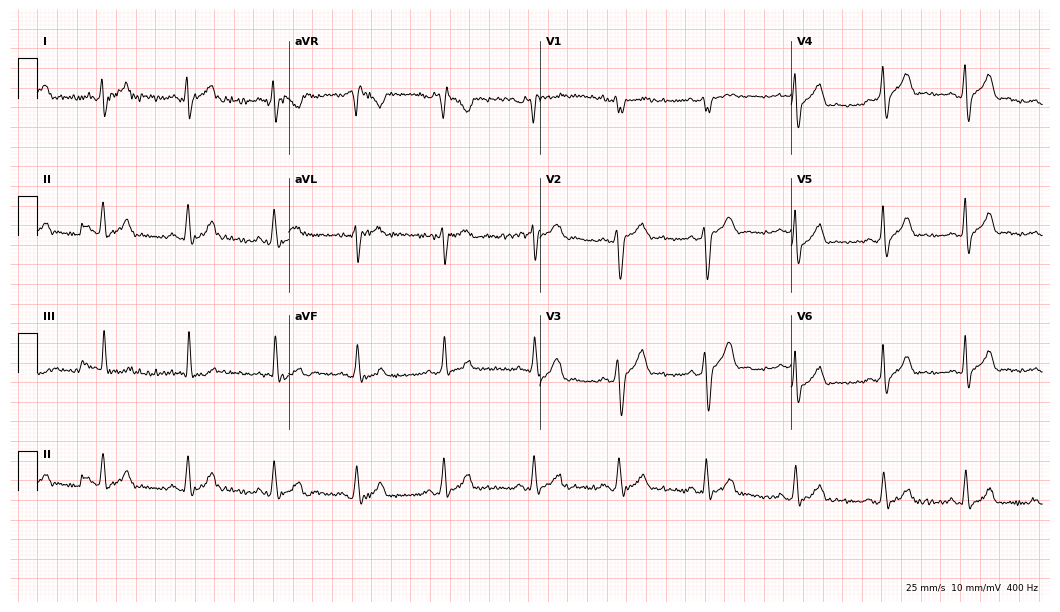
Resting 12-lead electrocardiogram. Patient: a 22-year-old male. None of these six findings is recorded: first-degree AV block, right bundle branch block (RBBB), left bundle branch block (LBBB), sinus bradycardia, atrial fibrillation (AF), sinus tachycardia.